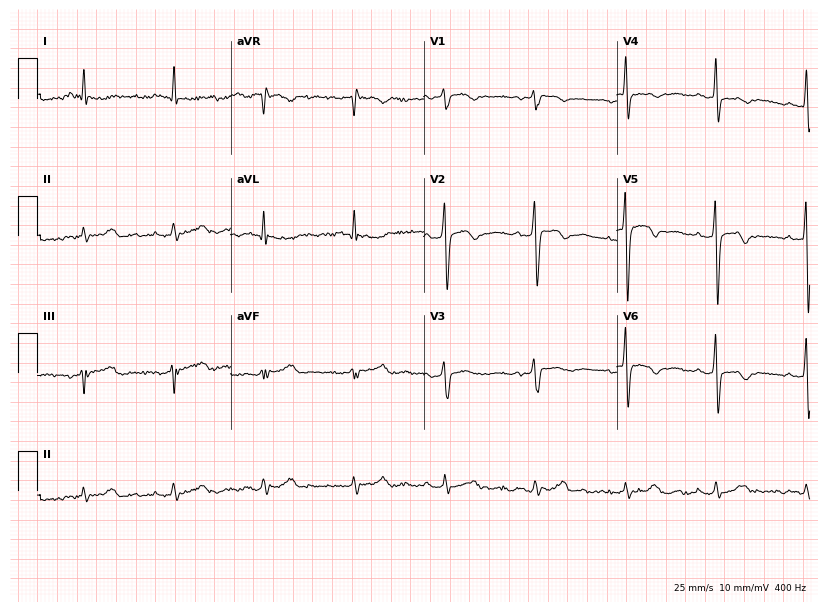
12-lead ECG from a man, 72 years old. No first-degree AV block, right bundle branch block, left bundle branch block, sinus bradycardia, atrial fibrillation or sinus tachycardia recorded for this tracing.